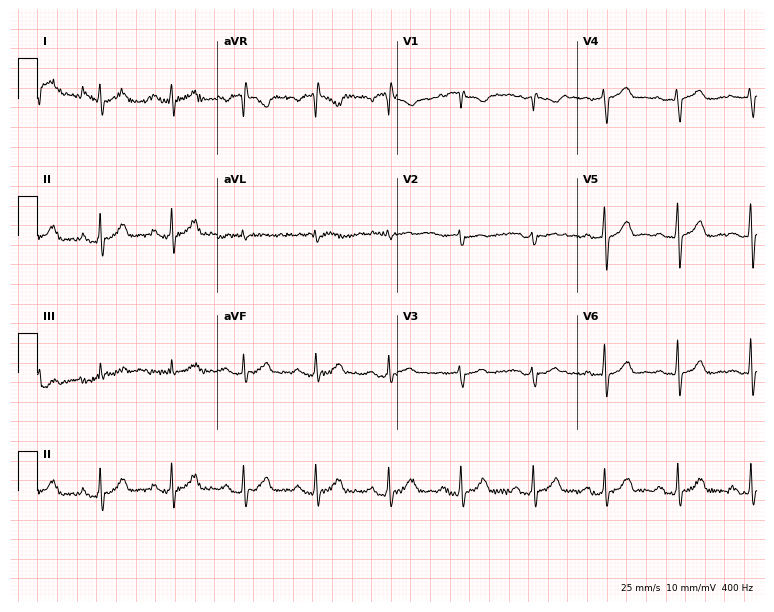
Electrocardiogram, a female patient, 67 years old. Interpretation includes first-degree AV block.